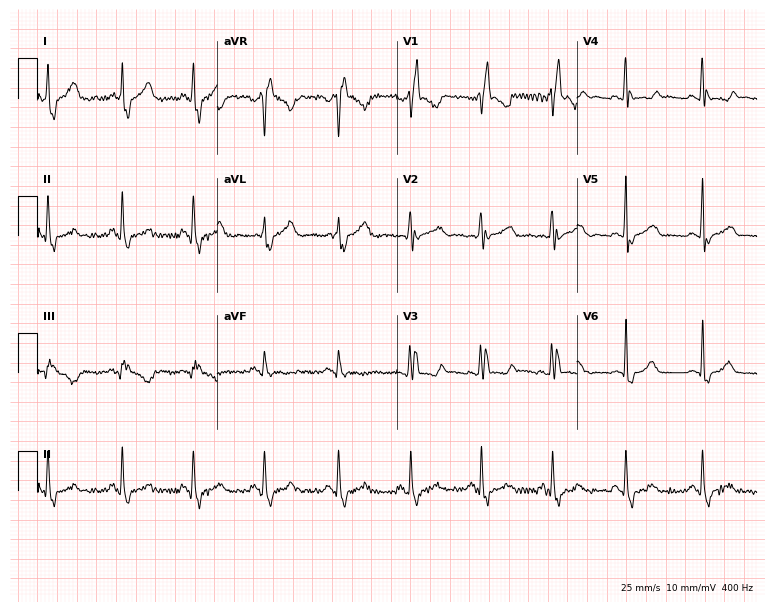
Resting 12-lead electrocardiogram. Patient: a woman, 42 years old. The tracing shows right bundle branch block.